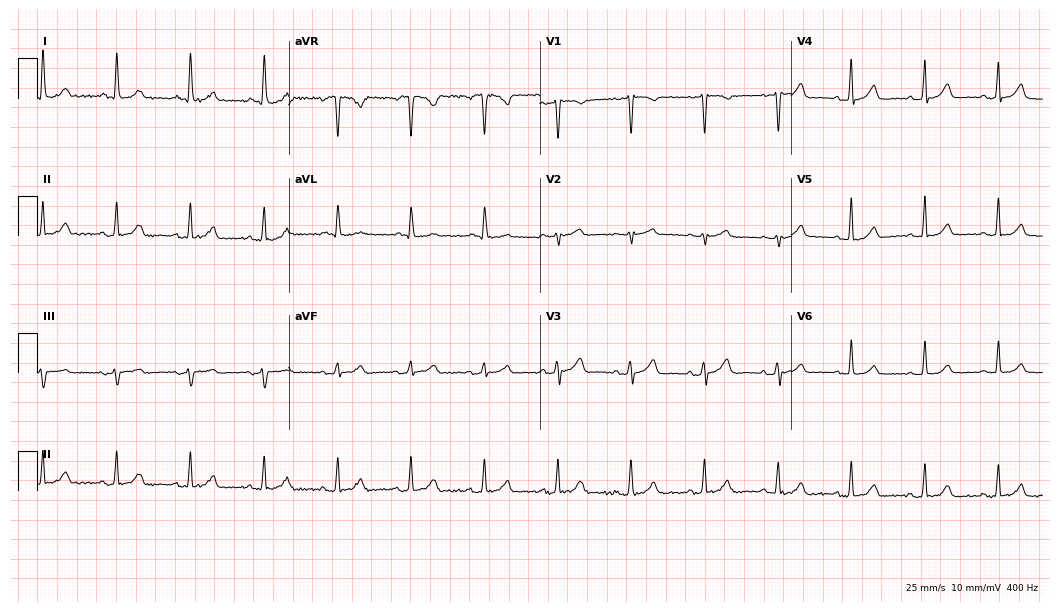
Electrocardiogram, a woman, 76 years old. Overall reading on record: normal ECG.